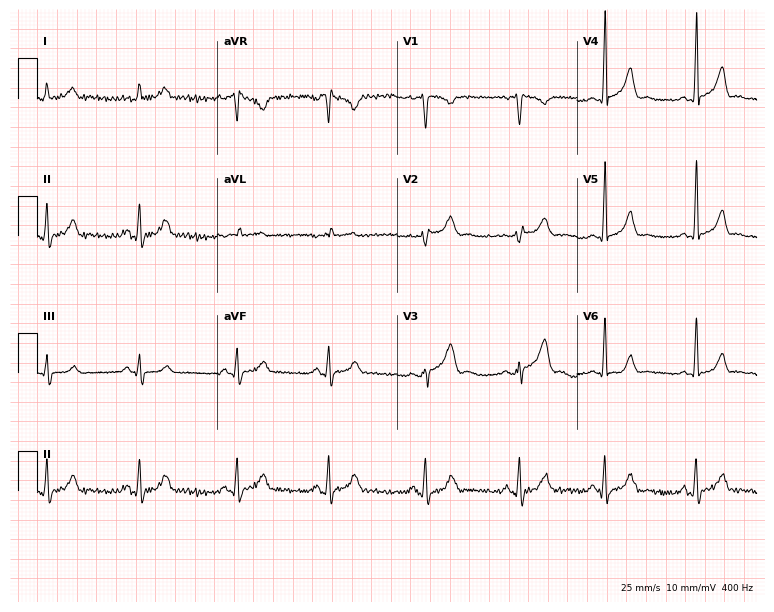
ECG — a man, 26 years old. Labelled as a normal ECG.